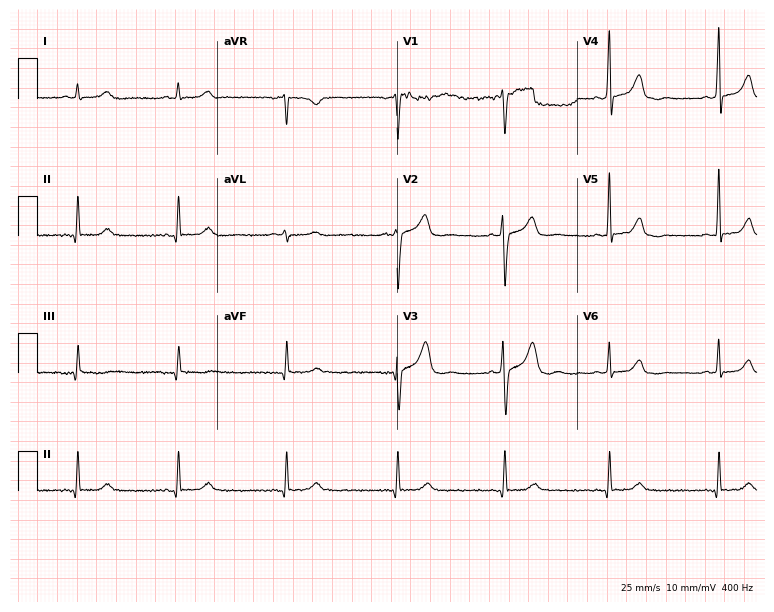
ECG (7.3-second recording at 400 Hz) — a man, 53 years old. Labelled as a normal ECG.